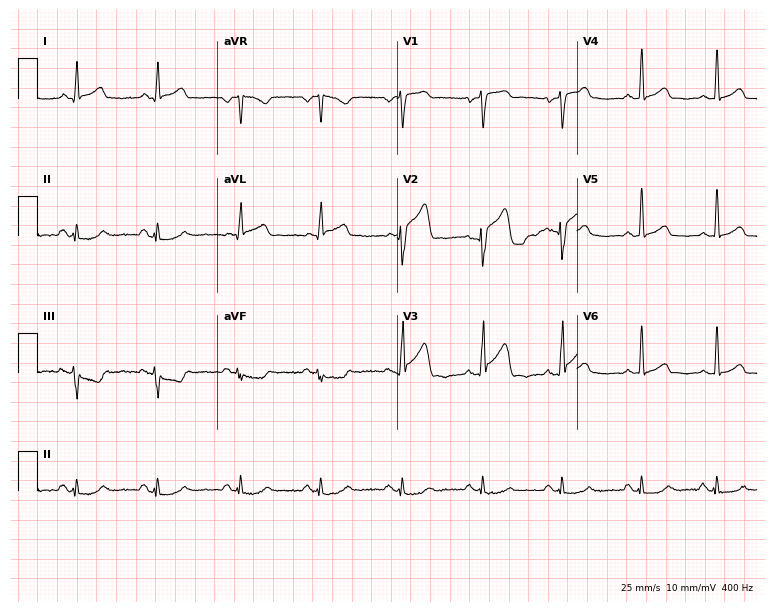
Standard 12-lead ECG recorded from a 43-year-old male (7.3-second recording at 400 Hz). None of these six findings is recorded: first-degree AV block, right bundle branch block, left bundle branch block, sinus bradycardia, atrial fibrillation, sinus tachycardia. Only these six findings were labelled.